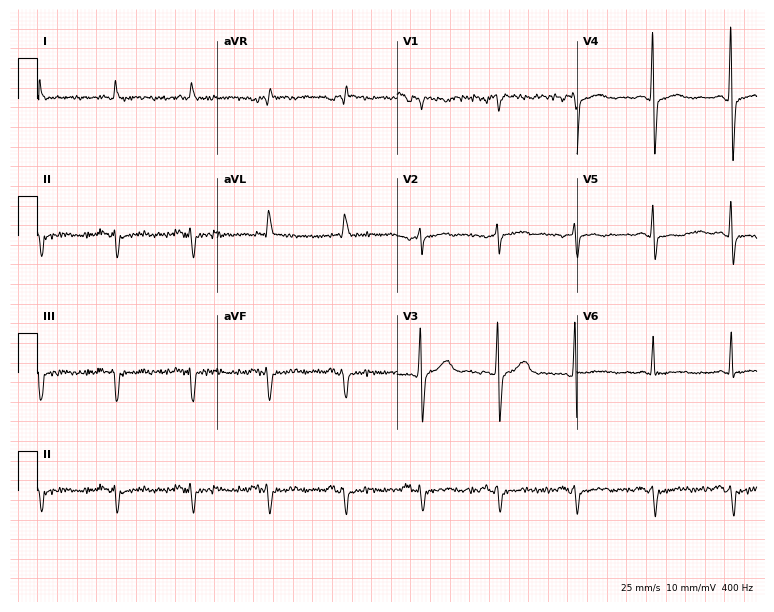
Resting 12-lead electrocardiogram (7.3-second recording at 400 Hz). Patient: an 81-year-old male. None of these six findings is recorded: first-degree AV block, right bundle branch block, left bundle branch block, sinus bradycardia, atrial fibrillation, sinus tachycardia.